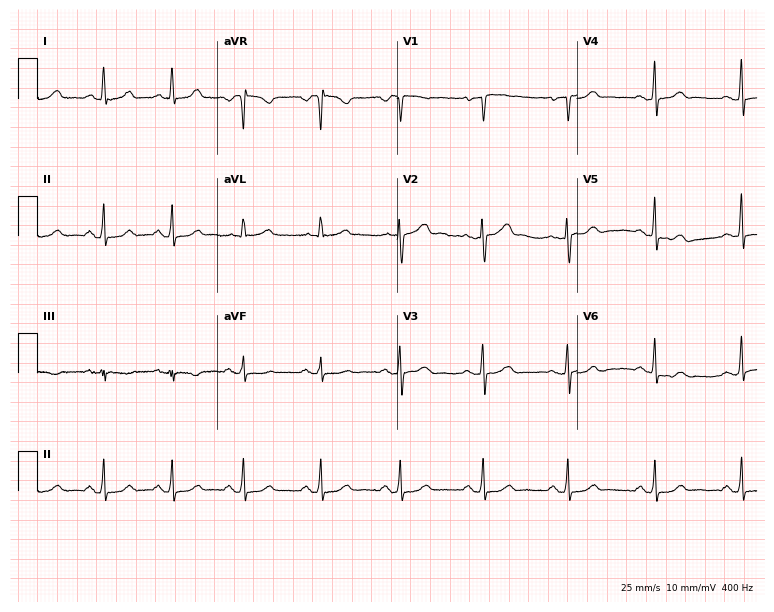
Resting 12-lead electrocardiogram (7.3-second recording at 400 Hz). Patient: a female, 51 years old. None of these six findings is recorded: first-degree AV block, right bundle branch block (RBBB), left bundle branch block (LBBB), sinus bradycardia, atrial fibrillation (AF), sinus tachycardia. Only these six findings were labelled.